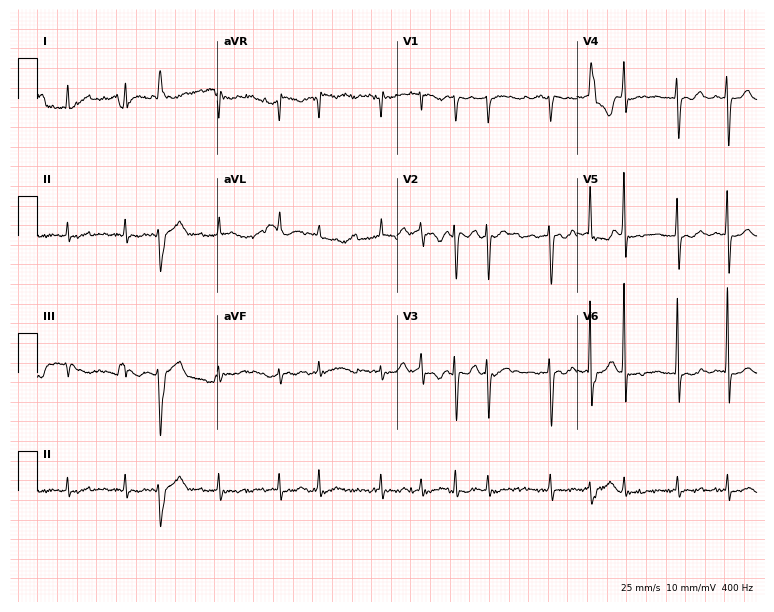
12-lead ECG from a female patient, 76 years old (7.3-second recording at 400 Hz). Shows atrial fibrillation.